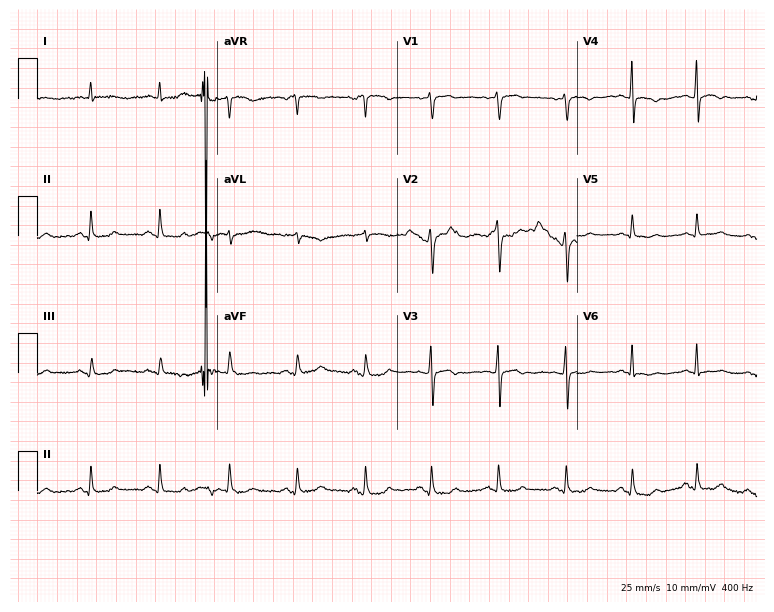
ECG — a 41-year-old woman. Screened for six findings — first-degree AV block, right bundle branch block (RBBB), left bundle branch block (LBBB), sinus bradycardia, atrial fibrillation (AF), sinus tachycardia — none is recorded.